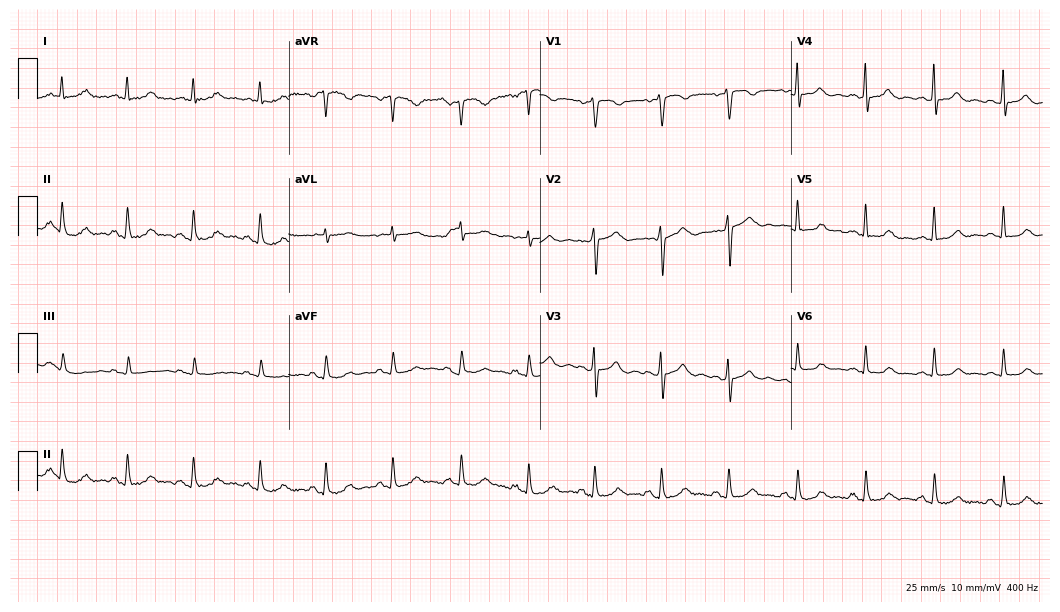
ECG (10.2-second recording at 400 Hz) — a female, 53 years old. Labelled as a normal ECG.